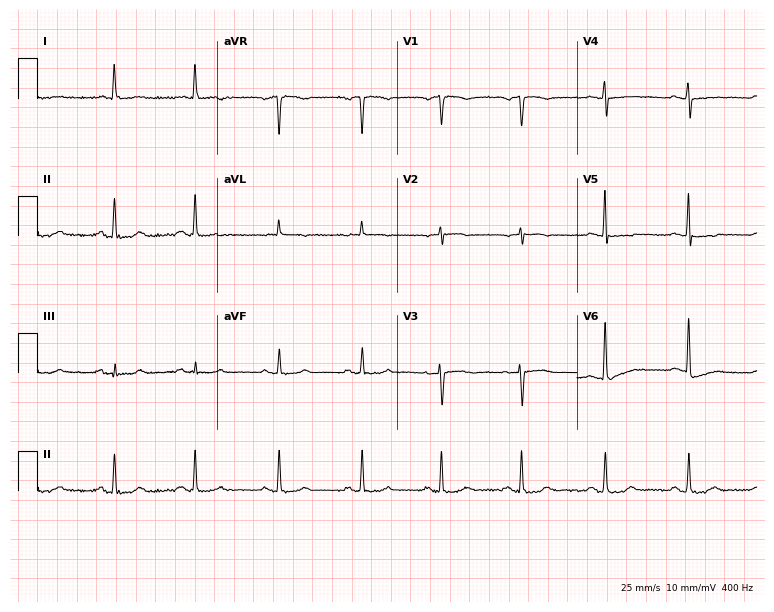
12-lead ECG from a female, 75 years old. Screened for six findings — first-degree AV block, right bundle branch block, left bundle branch block, sinus bradycardia, atrial fibrillation, sinus tachycardia — none is recorded.